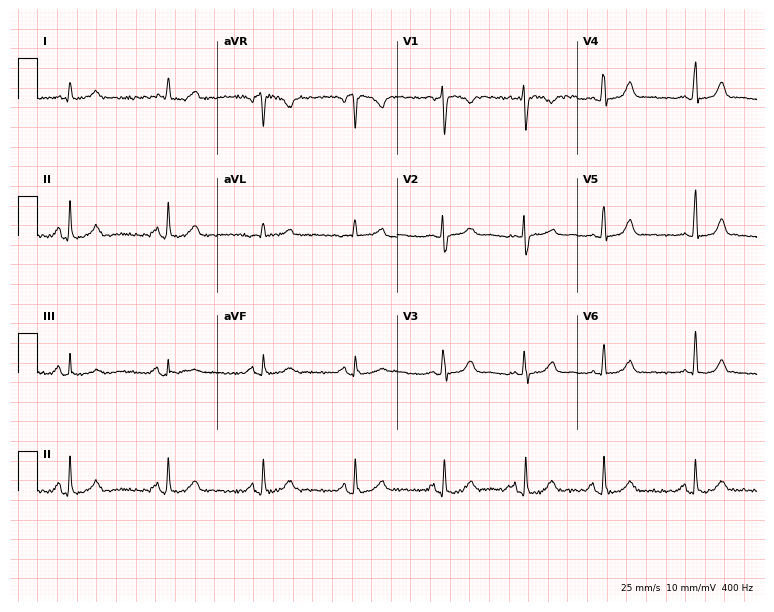
ECG — a 32-year-old female patient. Labelled as a normal ECG.